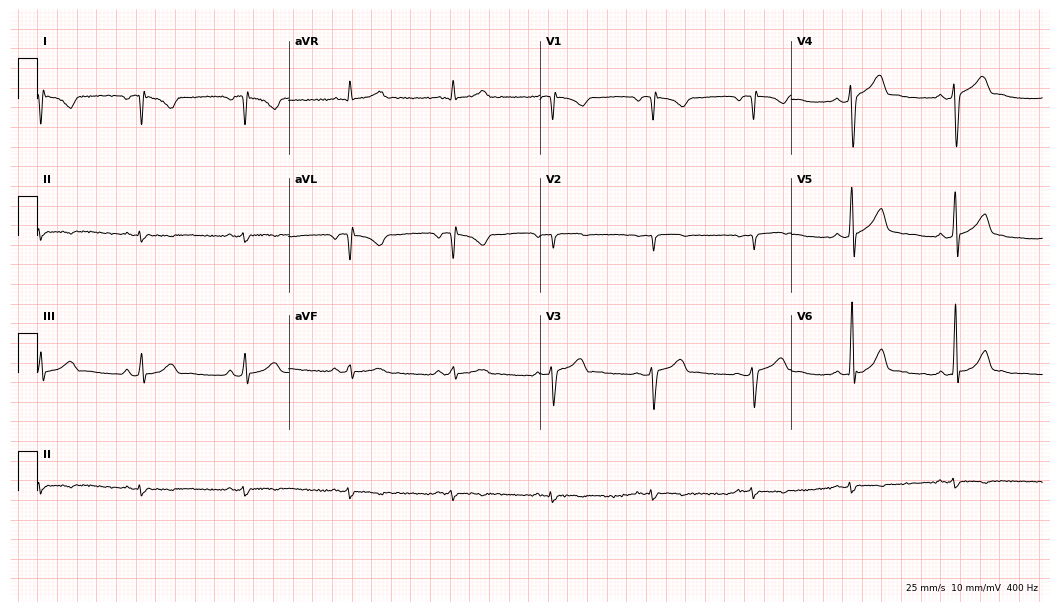
12-lead ECG (10.2-second recording at 400 Hz) from a man, 26 years old. Screened for six findings — first-degree AV block, right bundle branch block, left bundle branch block, sinus bradycardia, atrial fibrillation, sinus tachycardia — none is recorded.